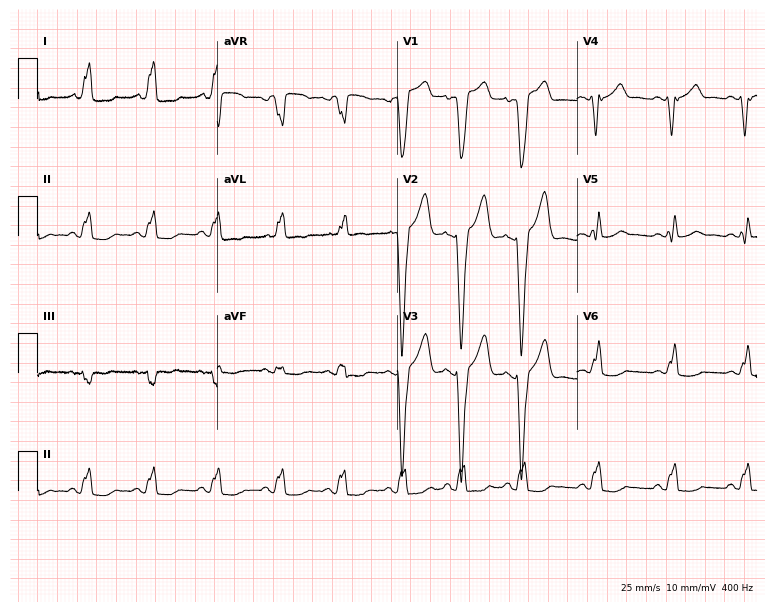
12-lead ECG (7.3-second recording at 400 Hz) from a 31-year-old female. Findings include left bundle branch block.